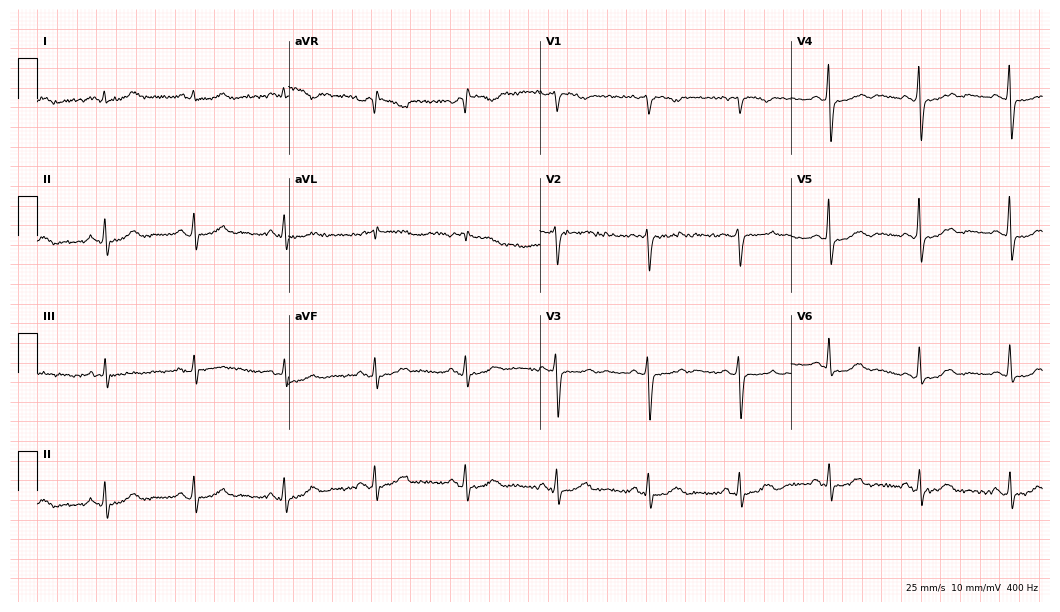
Resting 12-lead electrocardiogram (10.2-second recording at 400 Hz). Patient: a woman, 68 years old. Read as a normal ECG.